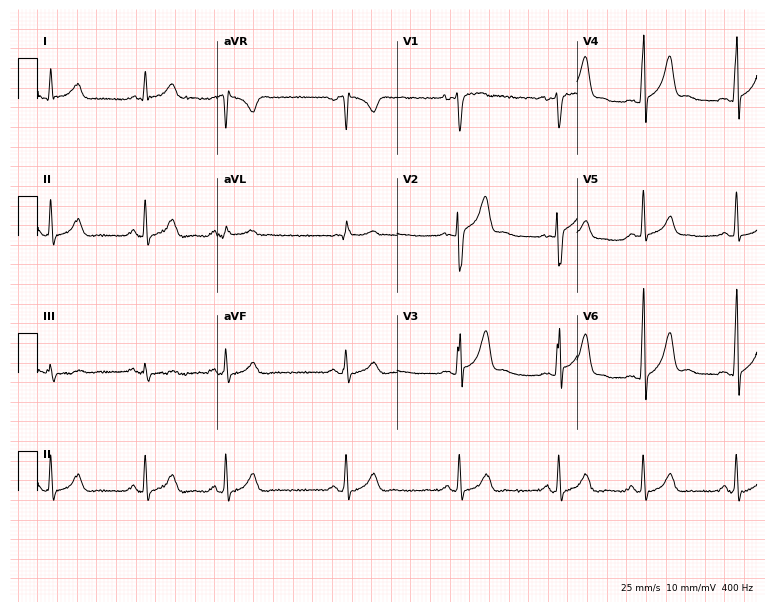
Electrocardiogram (7.3-second recording at 400 Hz), a male, 25 years old. Of the six screened findings (first-degree AV block, right bundle branch block (RBBB), left bundle branch block (LBBB), sinus bradycardia, atrial fibrillation (AF), sinus tachycardia), none is recorded. Only these six findings were labelled.